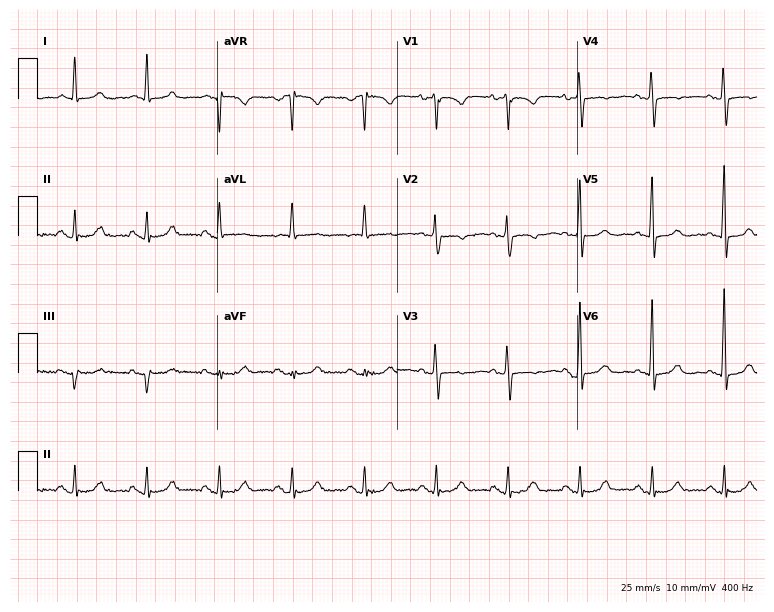
12-lead ECG from a 56-year-old woman (7.3-second recording at 400 Hz). No first-degree AV block, right bundle branch block, left bundle branch block, sinus bradycardia, atrial fibrillation or sinus tachycardia recorded for this tracing. Other findings, if any, are not listed.